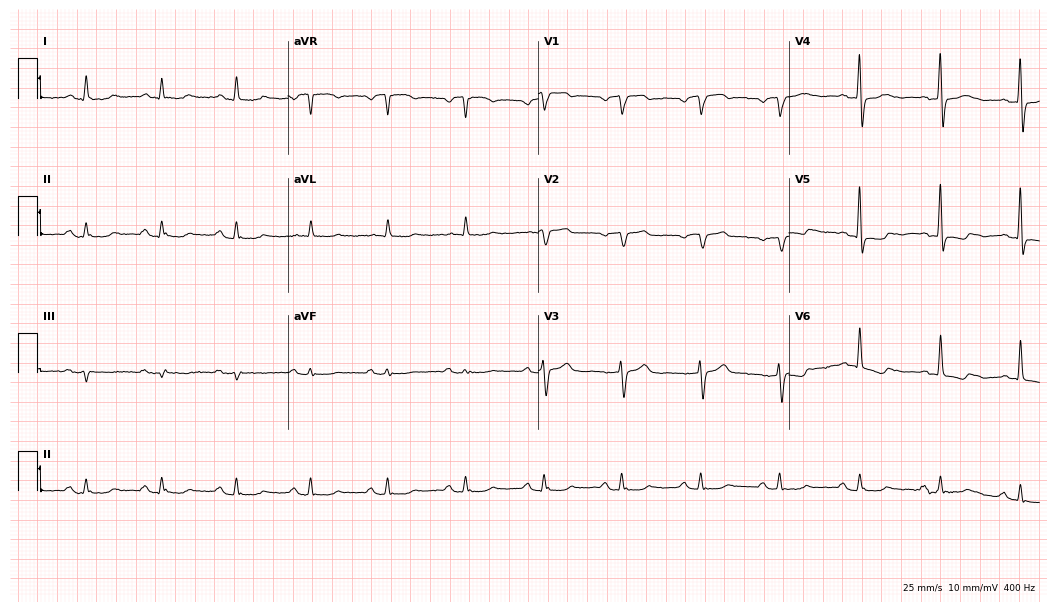
ECG (10.2-second recording at 400 Hz) — a man, 68 years old. Screened for six findings — first-degree AV block, right bundle branch block, left bundle branch block, sinus bradycardia, atrial fibrillation, sinus tachycardia — none is recorded.